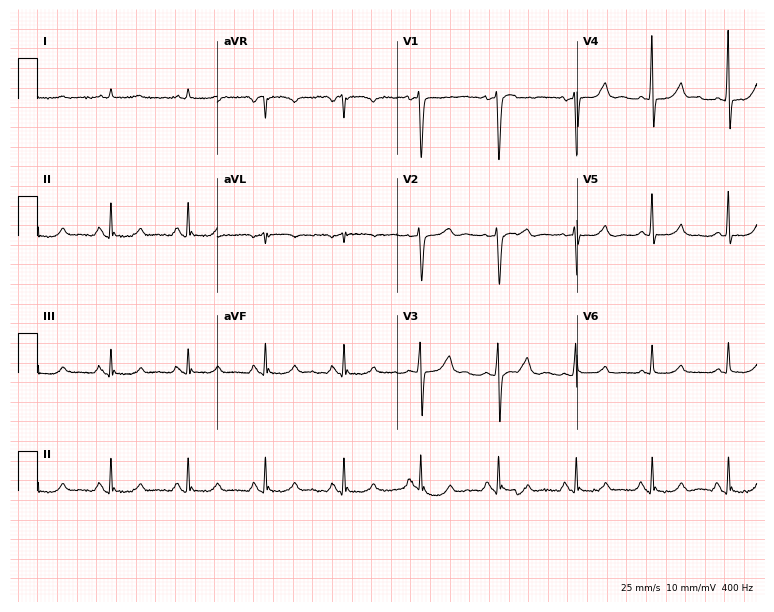
12-lead ECG from a 54-year-old male (7.3-second recording at 400 Hz). No first-degree AV block, right bundle branch block (RBBB), left bundle branch block (LBBB), sinus bradycardia, atrial fibrillation (AF) or sinus tachycardia recorded for this tracing.